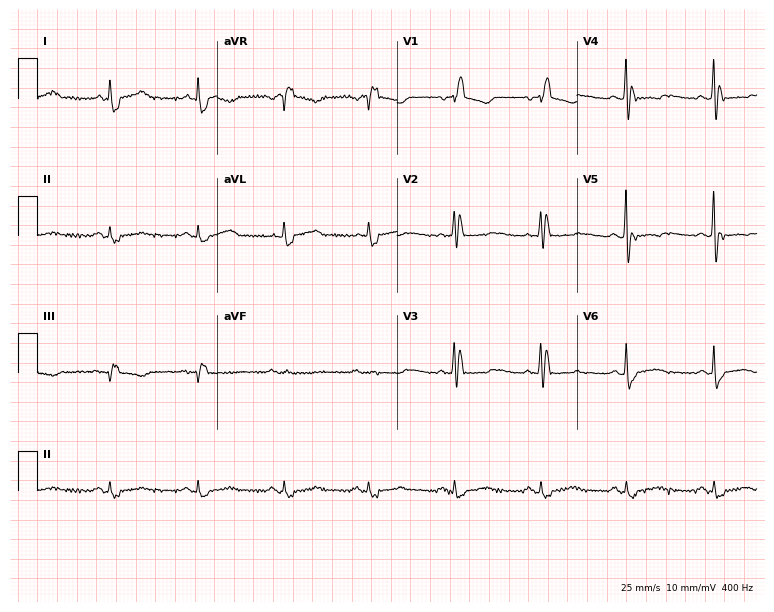
12-lead ECG from a 64-year-old female. Shows right bundle branch block.